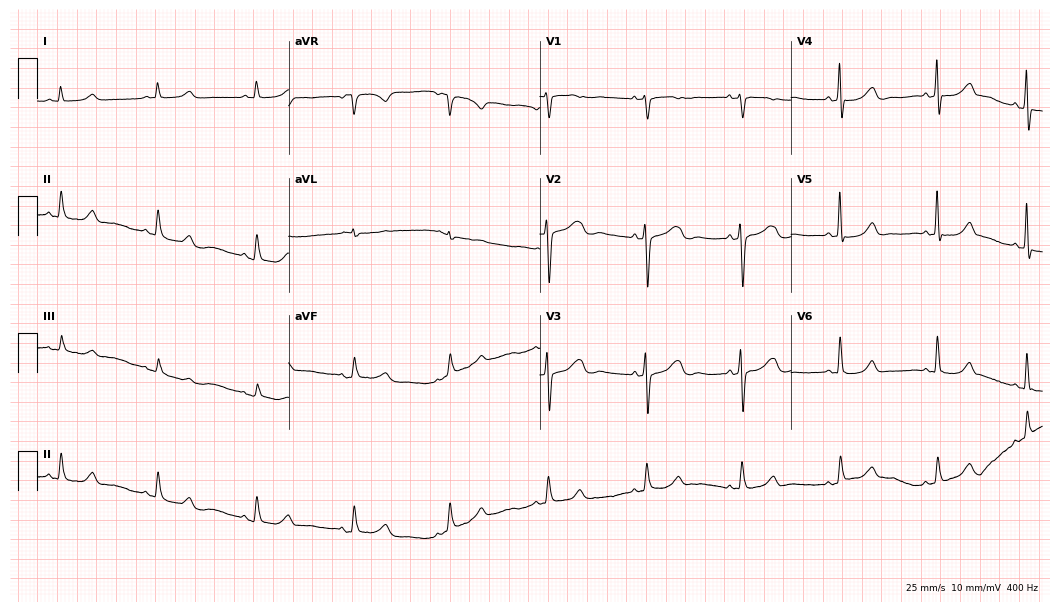
Standard 12-lead ECG recorded from a female, 57 years old. Read as a normal ECG.